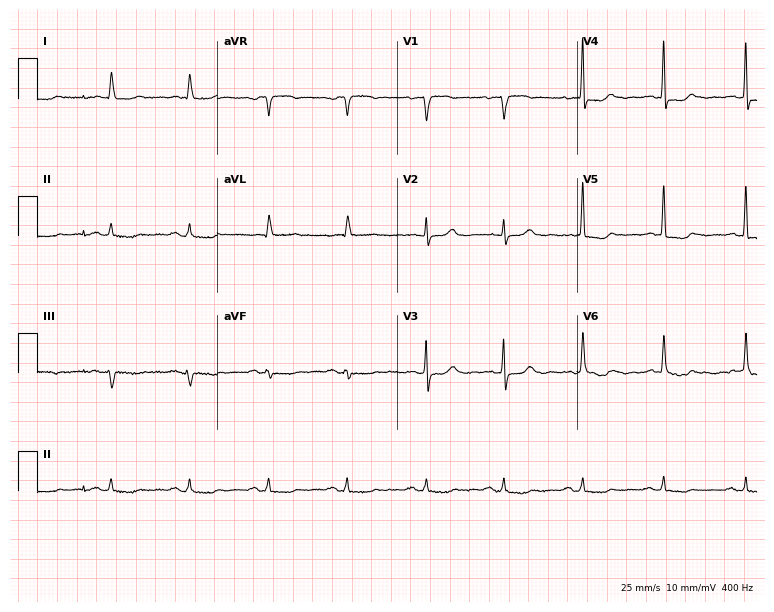
Standard 12-lead ECG recorded from a female, 75 years old (7.3-second recording at 400 Hz). None of these six findings is recorded: first-degree AV block, right bundle branch block, left bundle branch block, sinus bradycardia, atrial fibrillation, sinus tachycardia.